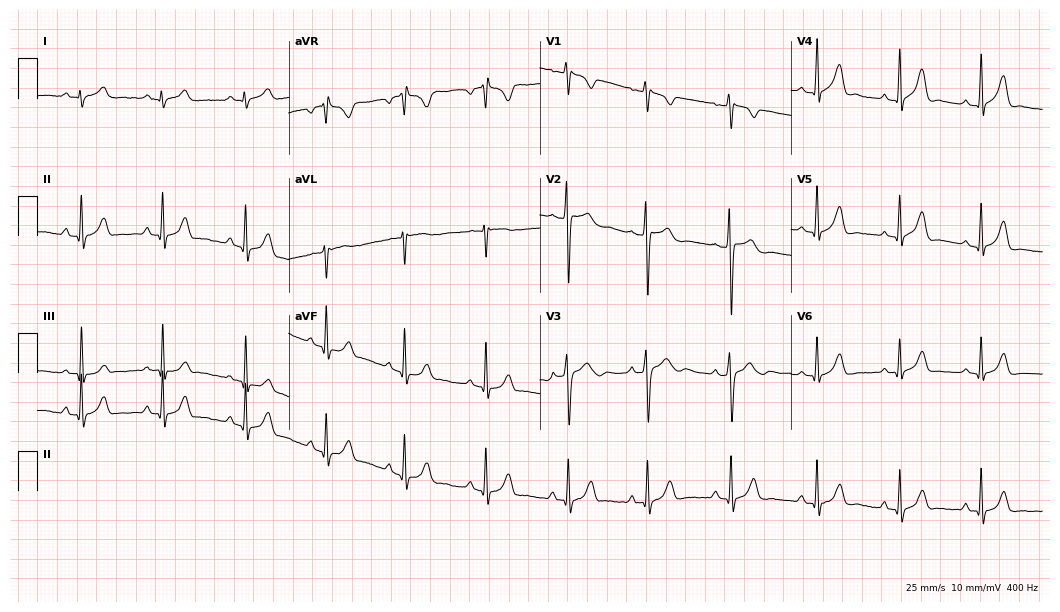
12-lead ECG (10.2-second recording at 400 Hz) from a 19-year-old female patient. Labelled as a normal ECG.